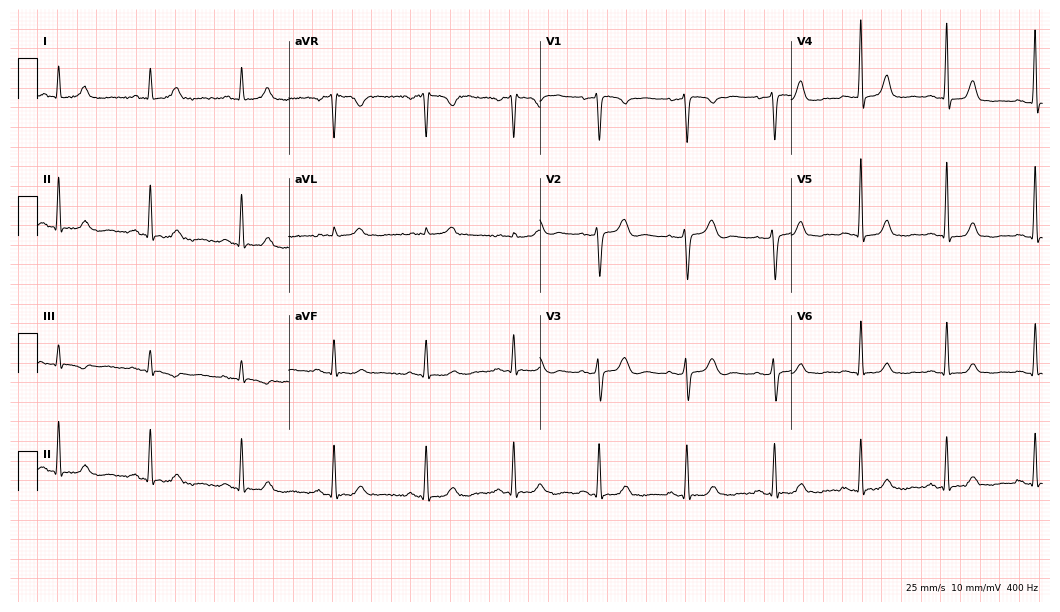
Resting 12-lead electrocardiogram (10.2-second recording at 400 Hz). Patient: a female, 47 years old. Read as a normal ECG.